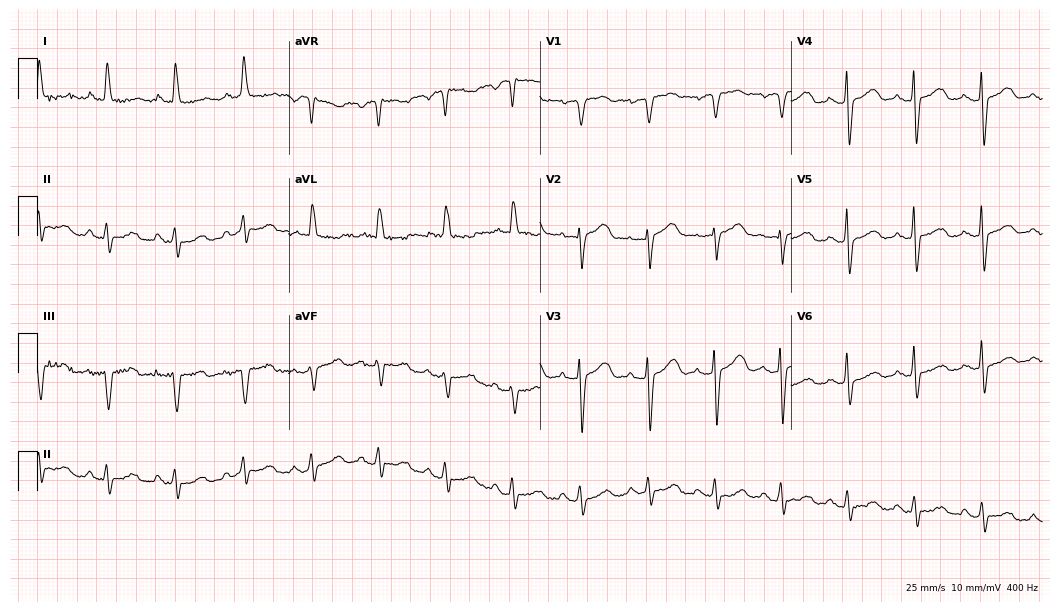
12-lead ECG (10.2-second recording at 400 Hz) from a woman, 78 years old. Screened for six findings — first-degree AV block, right bundle branch block (RBBB), left bundle branch block (LBBB), sinus bradycardia, atrial fibrillation (AF), sinus tachycardia — none is recorded. Other findings, if any, are not listed.